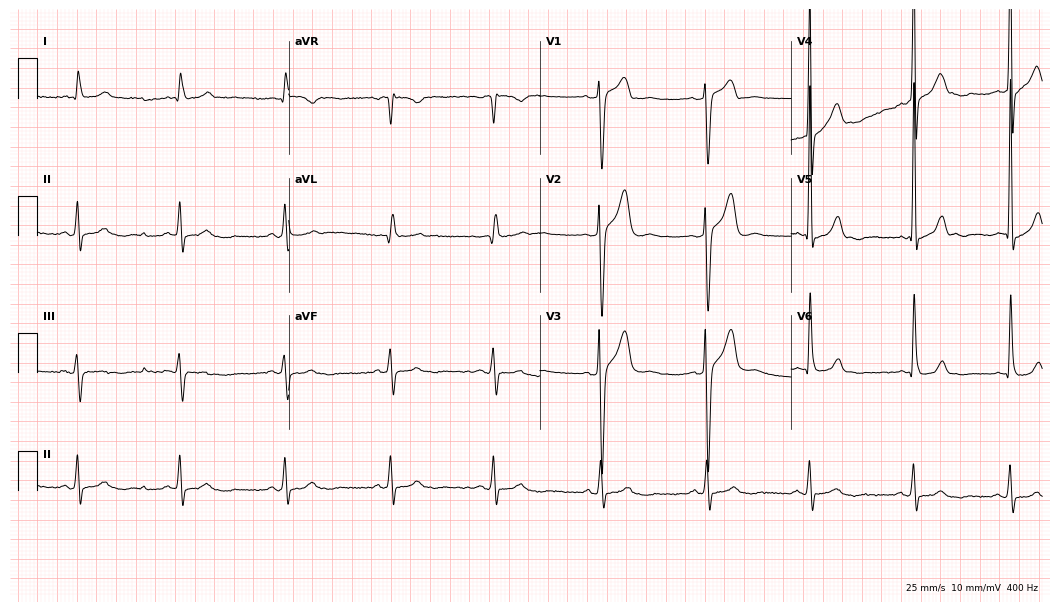
12-lead ECG from a 53-year-old man (10.2-second recording at 400 Hz). No first-degree AV block, right bundle branch block (RBBB), left bundle branch block (LBBB), sinus bradycardia, atrial fibrillation (AF) or sinus tachycardia recorded for this tracing. Only these six findings were labelled.